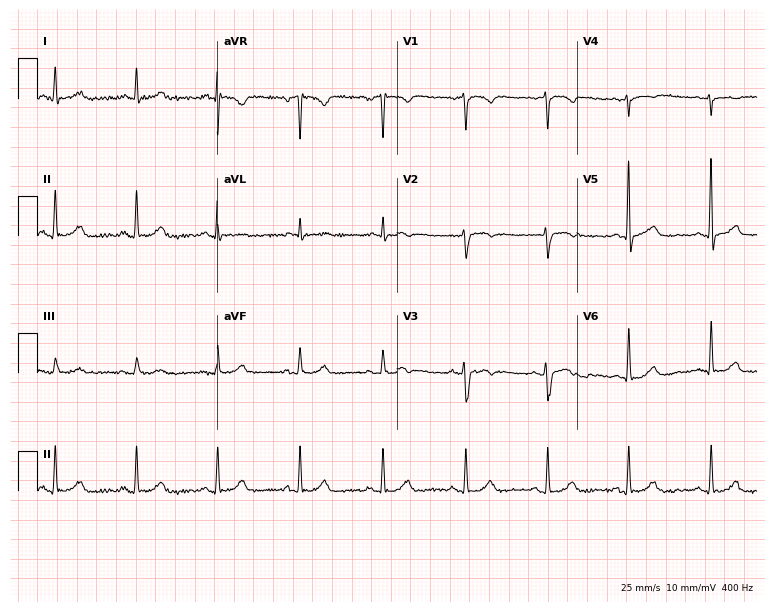
Standard 12-lead ECG recorded from a male, 54 years old. None of these six findings is recorded: first-degree AV block, right bundle branch block (RBBB), left bundle branch block (LBBB), sinus bradycardia, atrial fibrillation (AF), sinus tachycardia. Other findings, if any, are not listed.